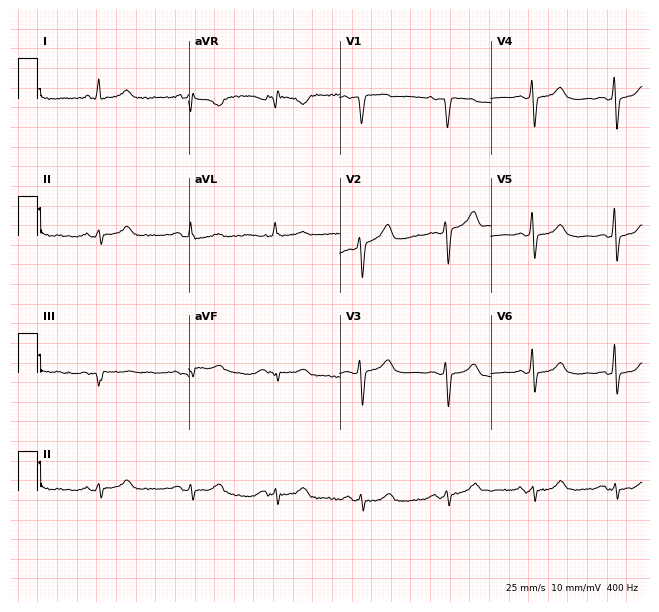
ECG — a 69-year-old female. Screened for six findings — first-degree AV block, right bundle branch block (RBBB), left bundle branch block (LBBB), sinus bradycardia, atrial fibrillation (AF), sinus tachycardia — none is recorded.